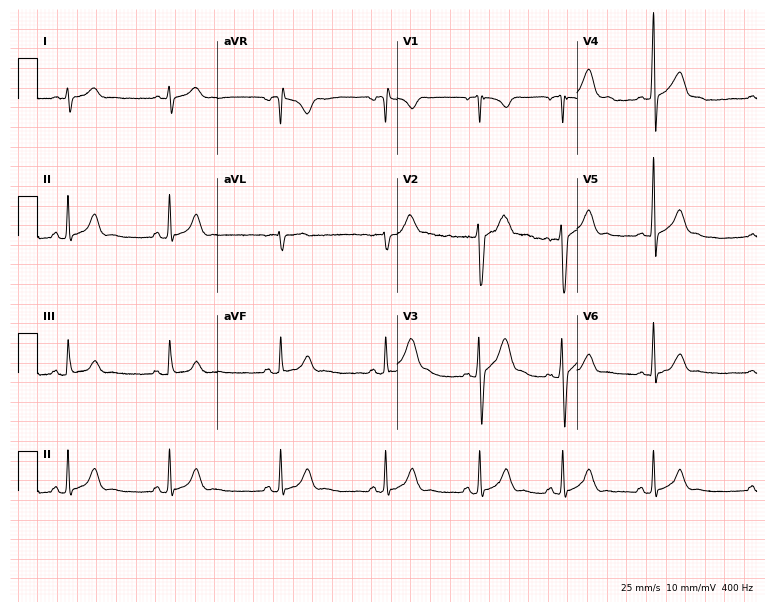
Electrocardiogram (7.3-second recording at 400 Hz), a man, 25 years old. Of the six screened findings (first-degree AV block, right bundle branch block, left bundle branch block, sinus bradycardia, atrial fibrillation, sinus tachycardia), none is recorded. Only these six findings were labelled.